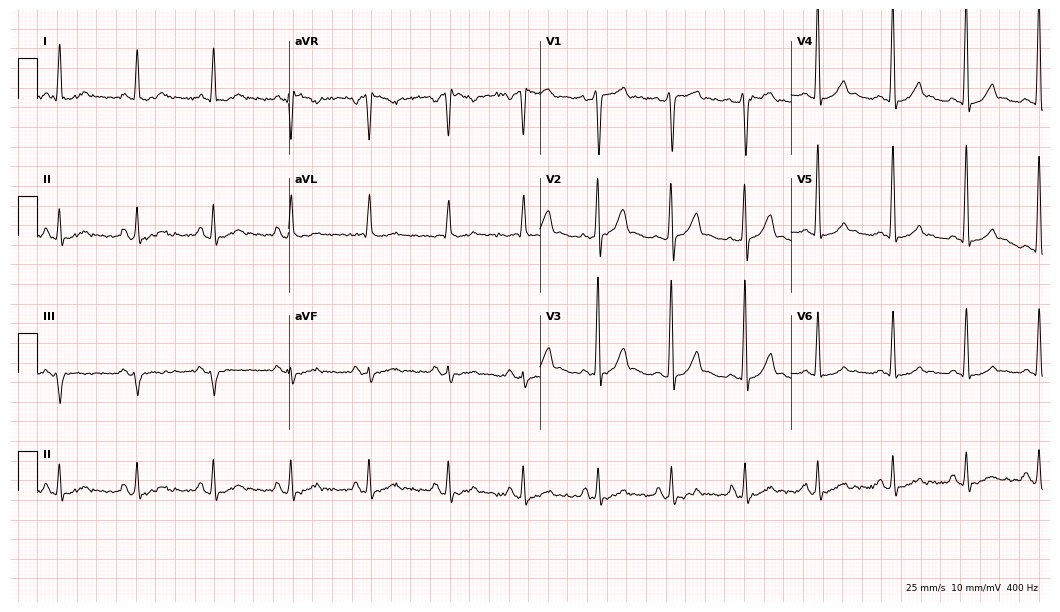
Electrocardiogram (10.2-second recording at 400 Hz), a man, 45 years old. Of the six screened findings (first-degree AV block, right bundle branch block (RBBB), left bundle branch block (LBBB), sinus bradycardia, atrial fibrillation (AF), sinus tachycardia), none is recorded.